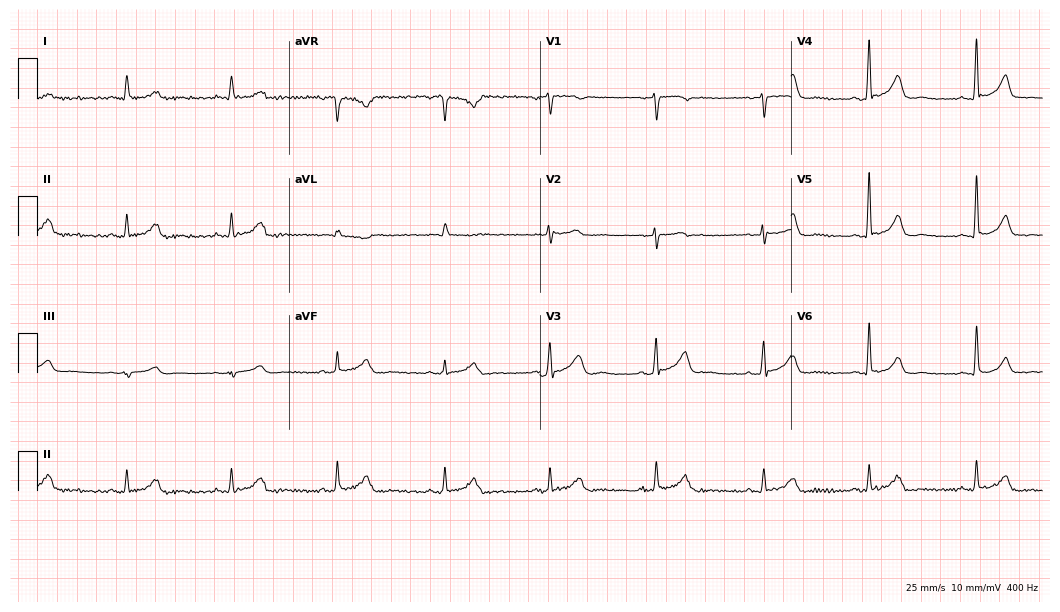
12-lead ECG from a 65-year-old man. Labelled as a normal ECG.